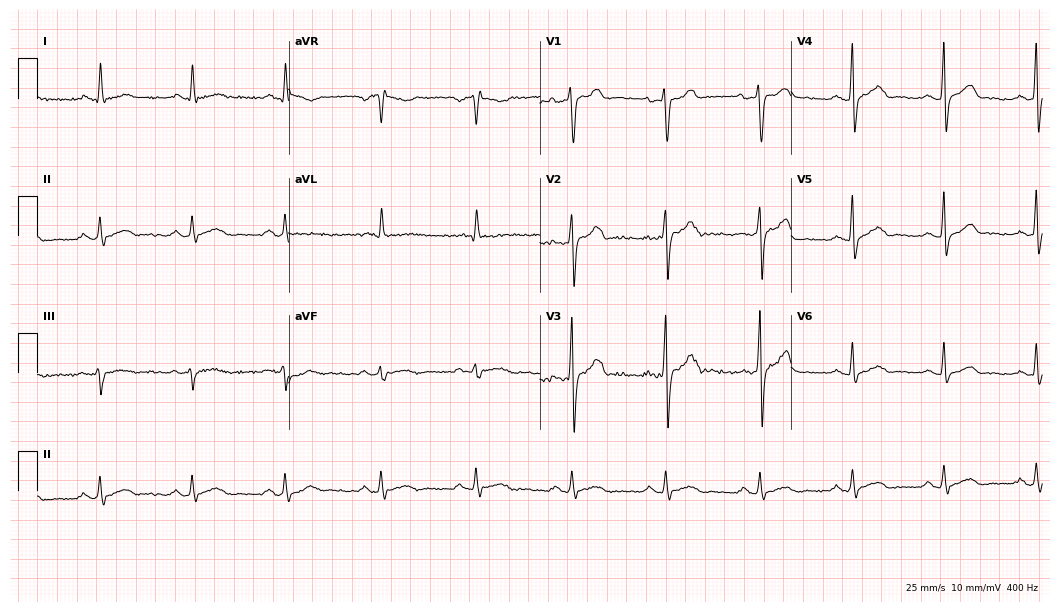
Standard 12-lead ECG recorded from a 39-year-old man (10.2-second recording at 400 Hz). Read as a normal ECG.